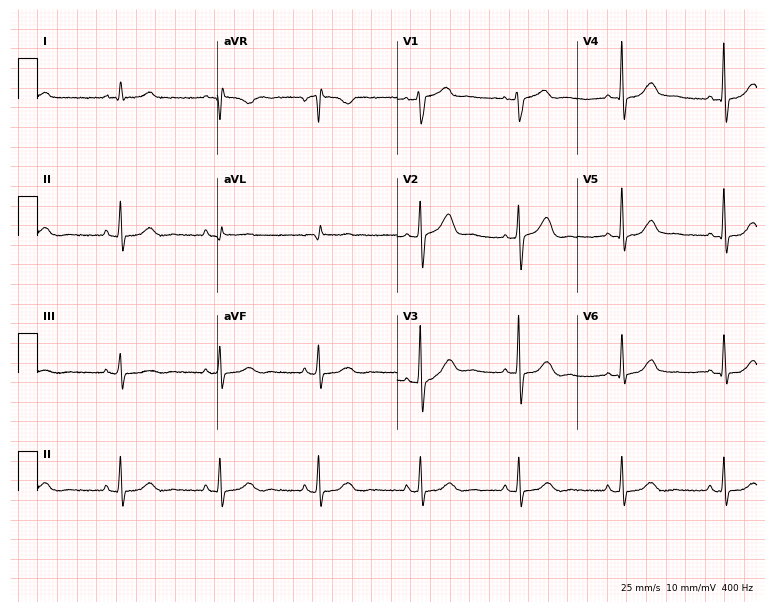
Standard 12-lead ECG recorded from a male, 61 years old. Read as a normal ECG.